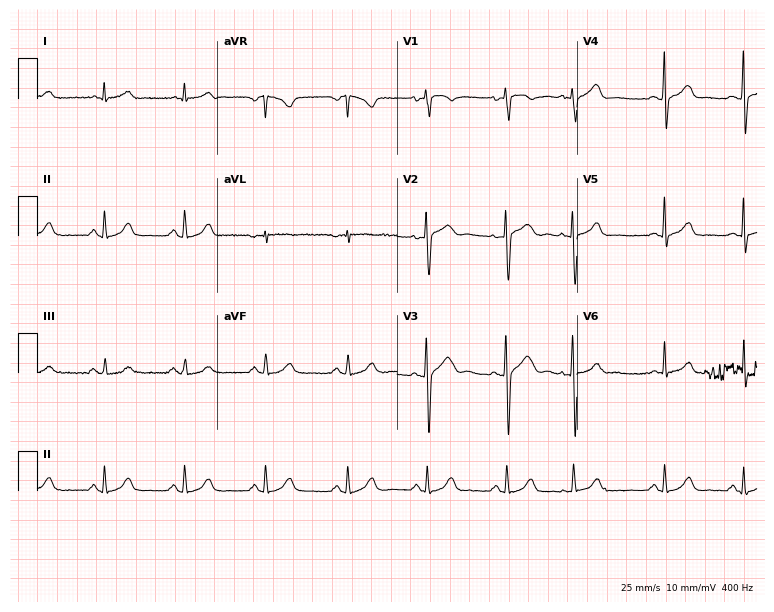
12-lead ECG from a 26-year-old female (7.3-second recording at 400 Hz). No first-degree AV block, right bundle branch block, left bundle branch block, sinus bradycardia, atrial fibrillation or sinus tachycardia recorded for this tracing.